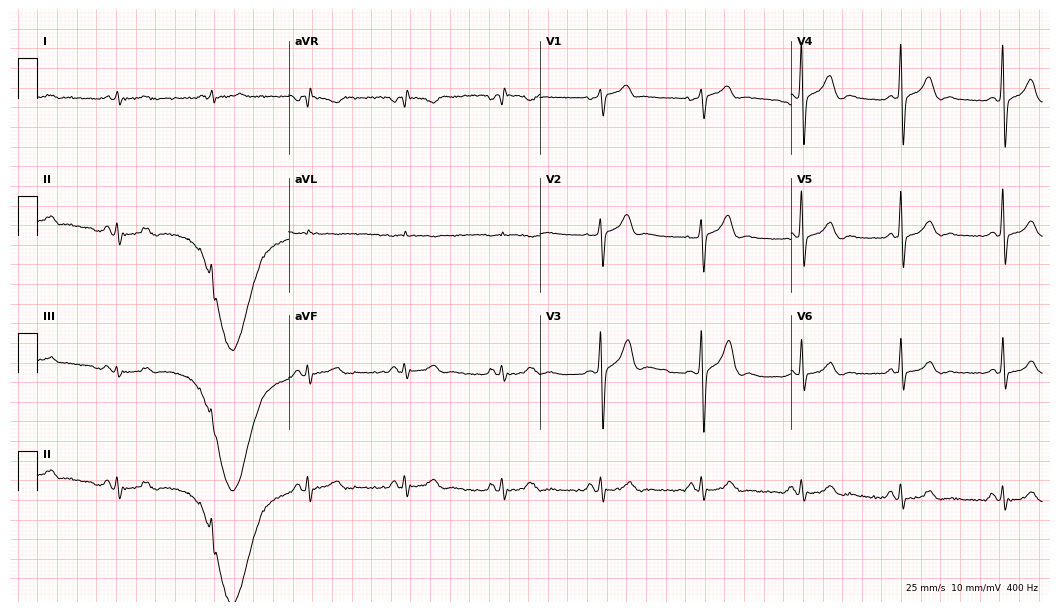
Electrocardiogram (10.2-second recording at 400 Hz), a male, 78 years old. Overall reading on record: normal ECG.